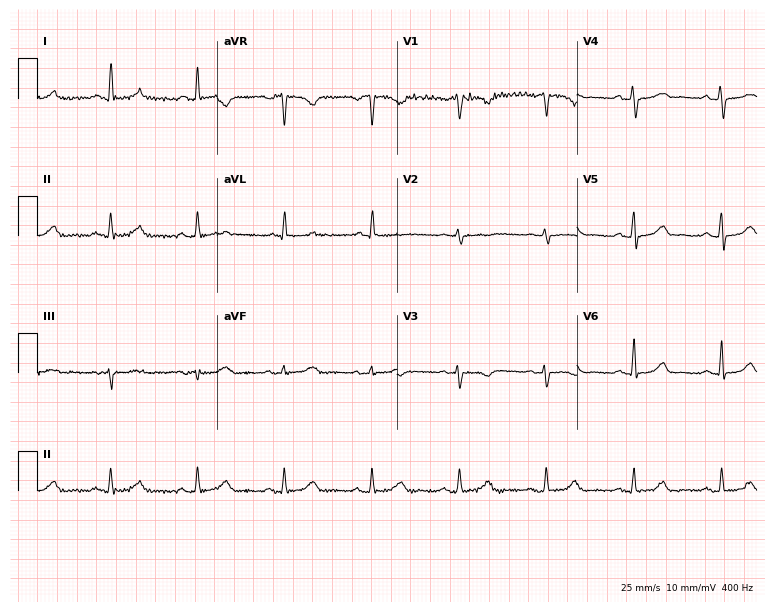
12-lead ECG from a 77-year-old woman. No first-degree AV block, right bundle branch block (RBBB), left bundle branch block (LBBB), sinus bradycardia, atrial fibrillation (AF) or sinus tachycardia recorded for this tracing. Findings outside these six are not listed.